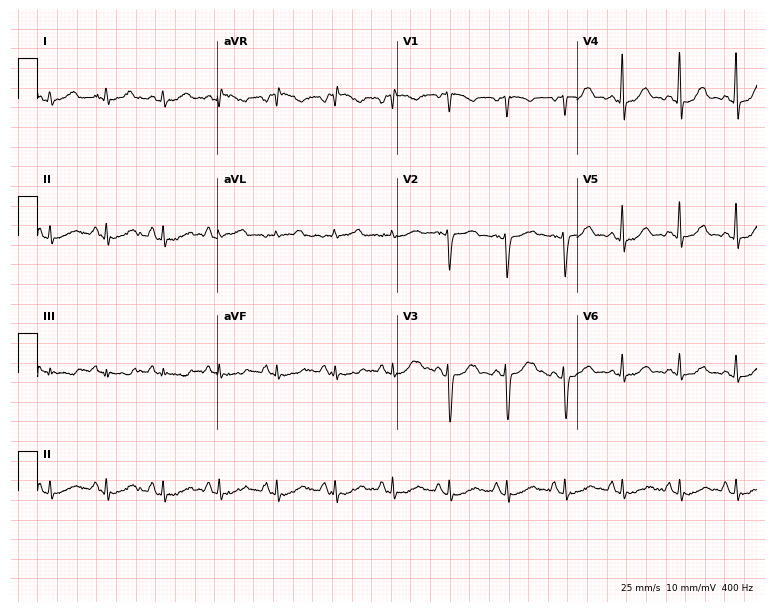
ECG (7.3-second recording at 400 Hz) — a female patient, 39 years old. Labelled as a normal ECG.